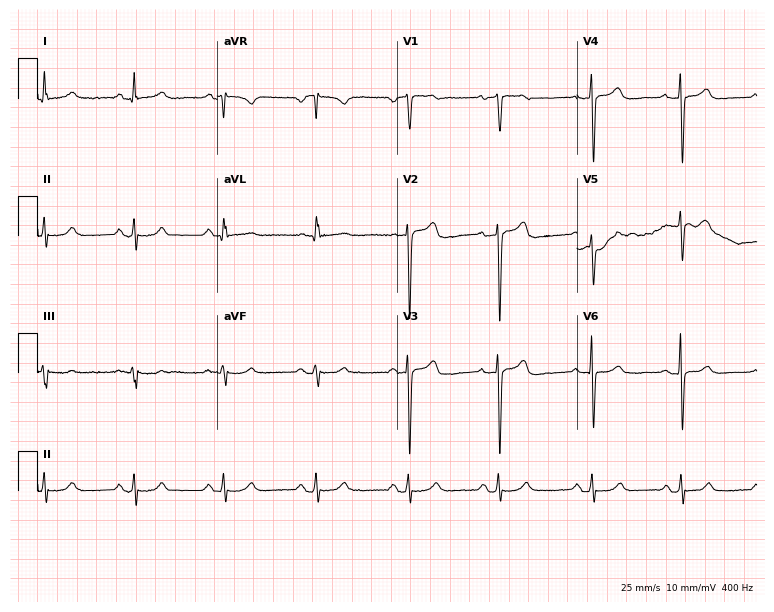
12-lead ECG (7.3-second recording at 400 Hz) from a woman, 41 years old. Labelled as a normal ECG.